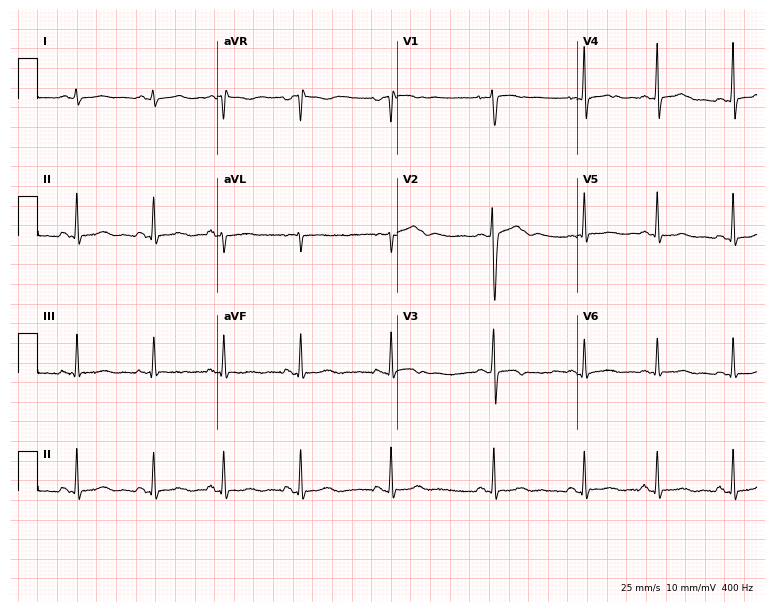
Resting 12-lead electrocardiogram (7.3-second recording at 400 Hz). Patient: a female, 27 years old. None of these six findings is recorded: first-degree AV block, right bundle branch block, left bundle branch block, sinus bradycardia, atrial fibrillation, sinus tachycardia.